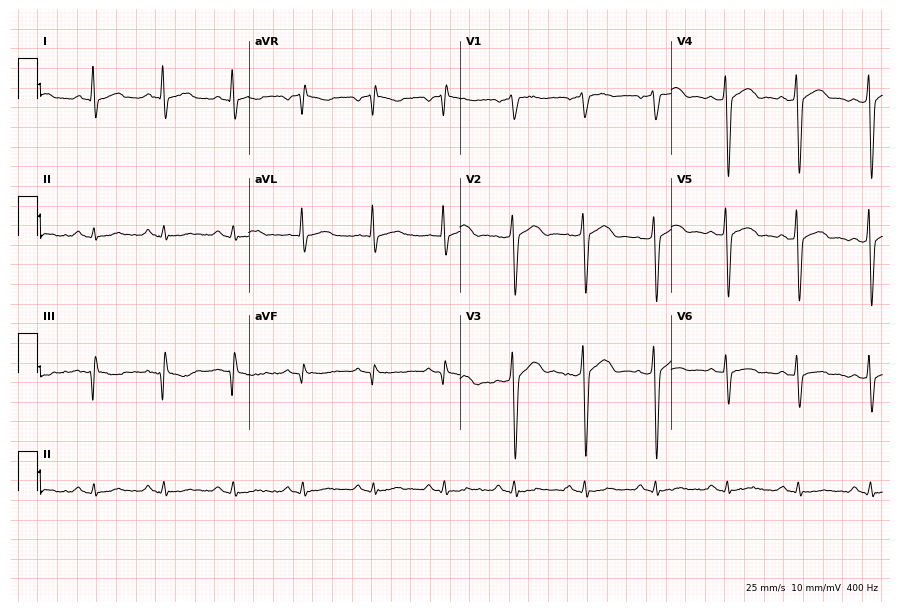
Electrocardiogram (8.6-second recording at 400 Hz), a man, 40 years old. Of the six screened findings (first-degree AV block, right bundle branch block, left bundle branch block, sinus bradycardia, atrial fibrillation, sinus tachycardia), none is recorded. Only these six findings were labelled.